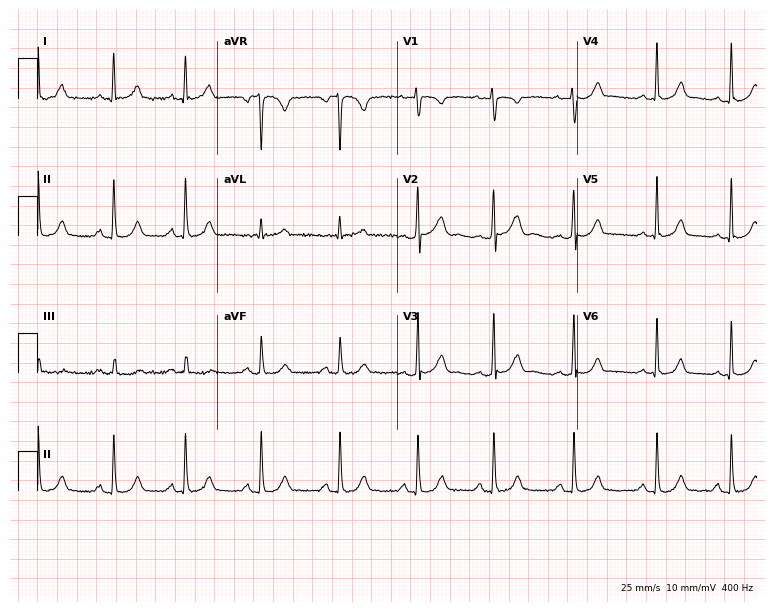
Resting 12-lead electrocardiogram. Patient: a female, 19 years old. None of these six findings is recorded: first-degree AV block, right bundle branch block, left bundle branch block, sinus bradycardia, atrial fibrillation, sinus tachycardia.